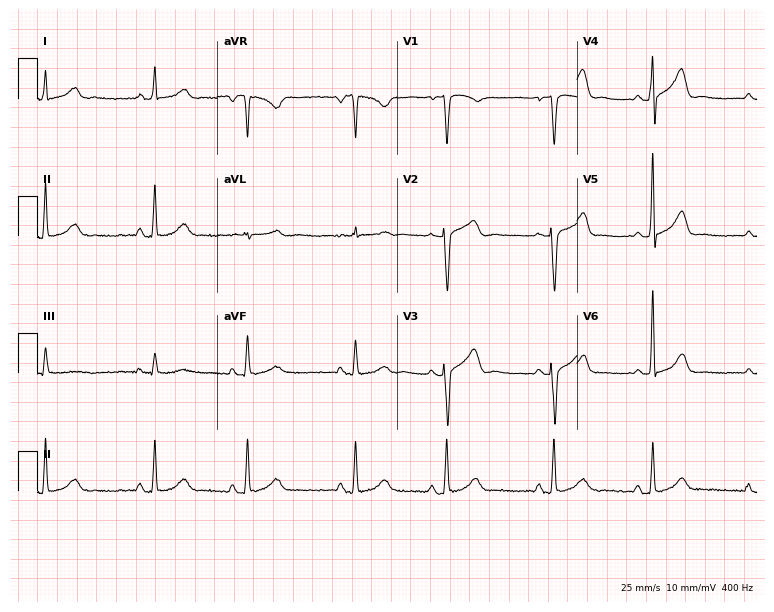
Resting 12-lead electrocardiogram. Patient: a female, 54 years old. None of these six findings is recorded: first-degree AV block, right bundle branch block, left bundle branch block, sinus bradycardia, atrial fibrillation, sinus tachycardia. Only these six findings were labelled.